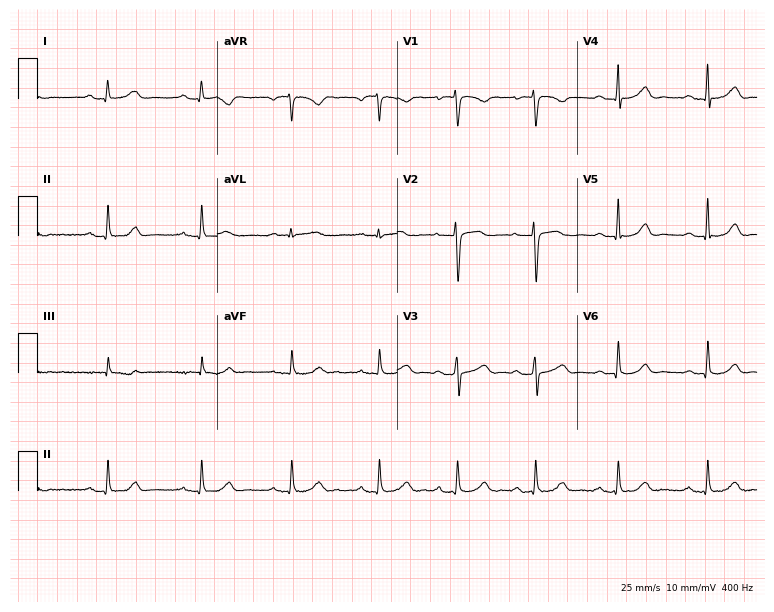
ECG (7.3-second recording at 400 Hz) — a woman, 29 years old. Labelled as a normal ECG.